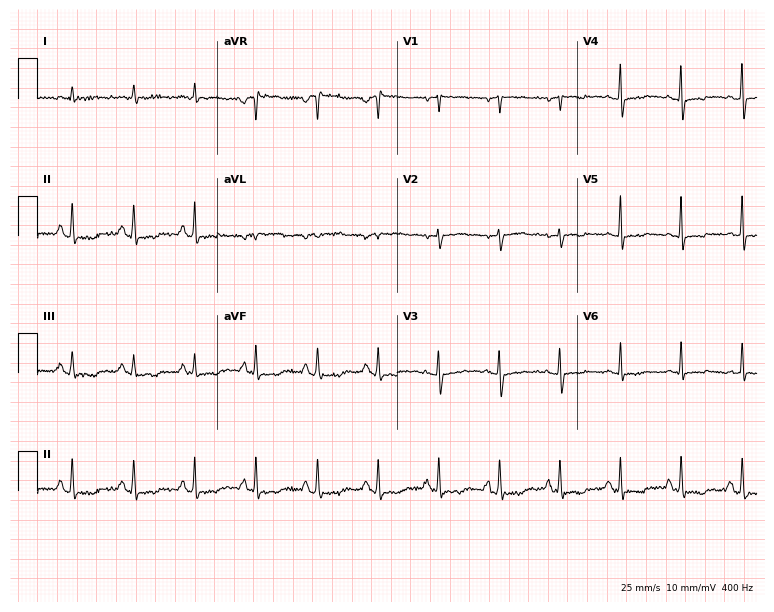
ECG — a male, 78 years old. Screened for six findings — first-degree AV block, right bundle branch block, left bundle branch block, sinus bradycardia, atrial fibrillation, sinus tachycardia — none is recorded. Findings outside these six are not listed.